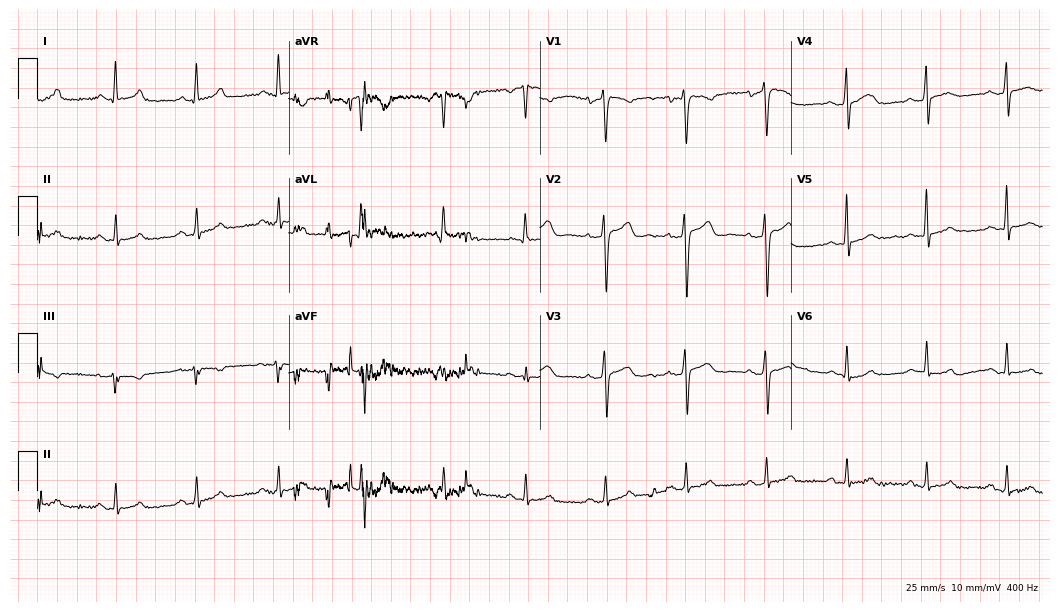
ECG (10.2-second recording at 400 Hz) — a male patient, 34 years old. Labelled as a normal ECG.